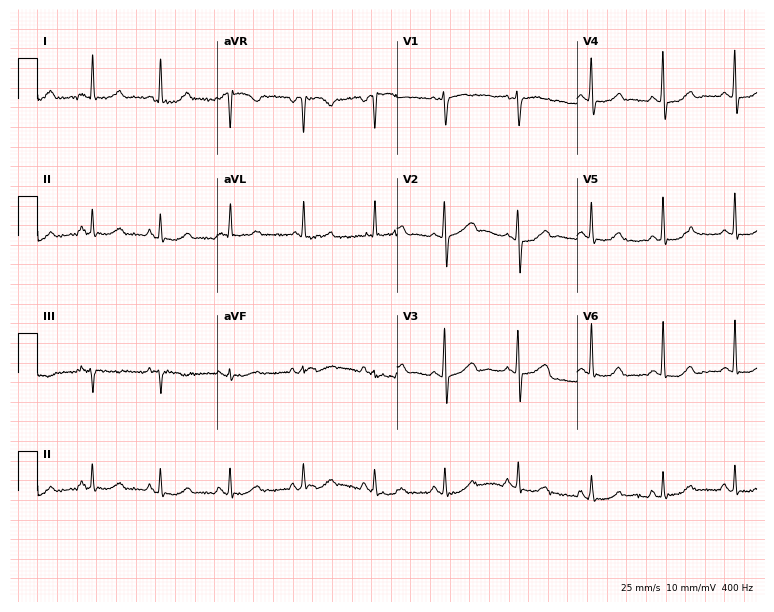
12-lead ECG (7.3-second recording at 400 Hz) from a female, 59 years old. Screened for six findings — first-degree AV block, right bundle branch block (RBBB), left bundle branch block (LBBB), sinus bradycardia, atrial fibrillation (AF), sinus tachycardia — none is recorded. Only these six findings were labelled.